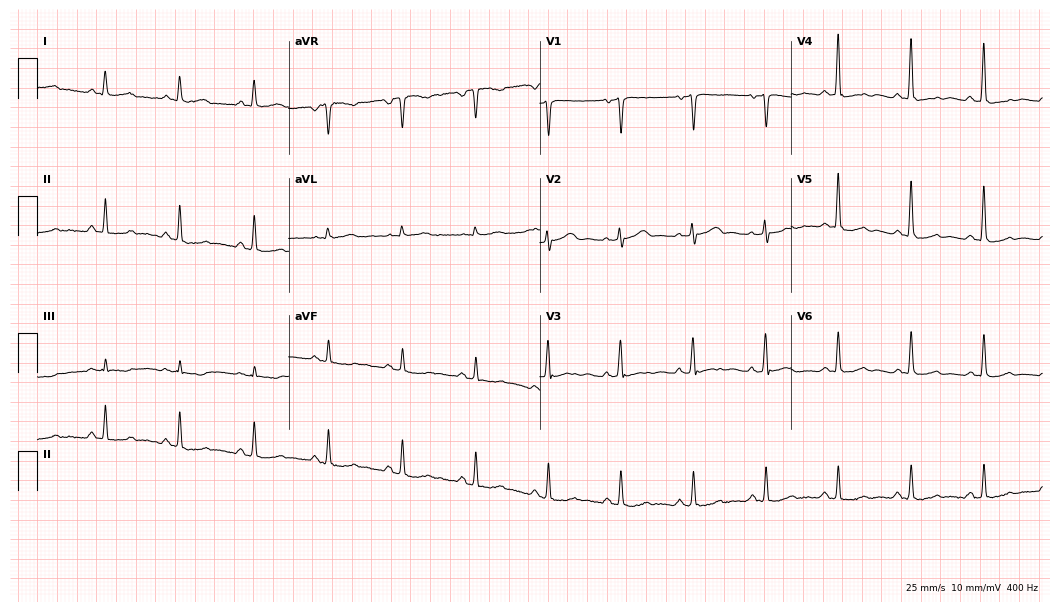
12-lead ECG from a 26-year-old man (10.2-second recording at 400 Hz). Recorded interpretation: within normal limits.